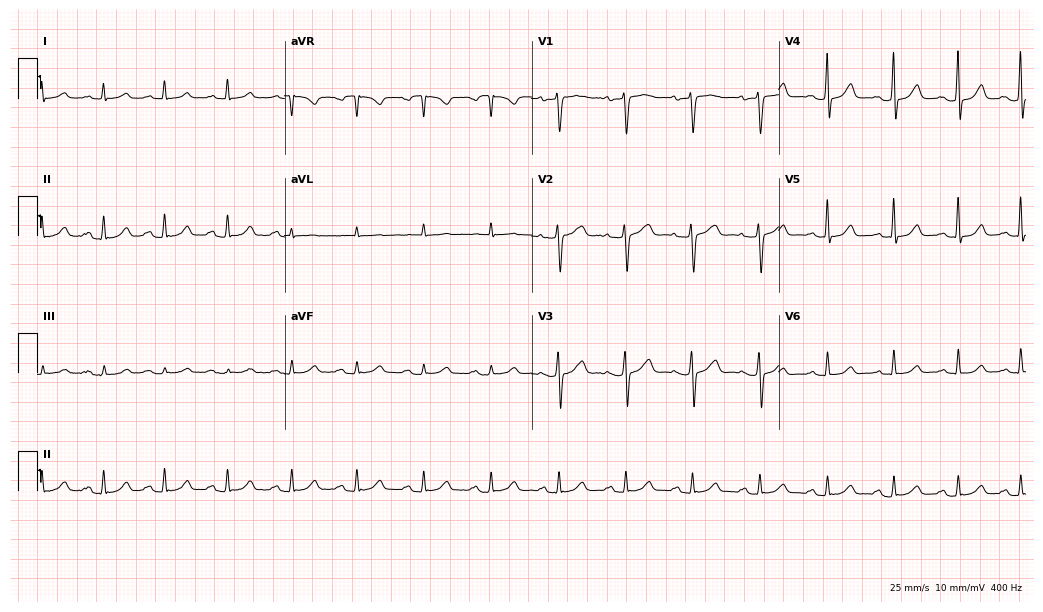
Electrocardiogram, a woman, 52 years old. Overall reading on record: normal ECG.